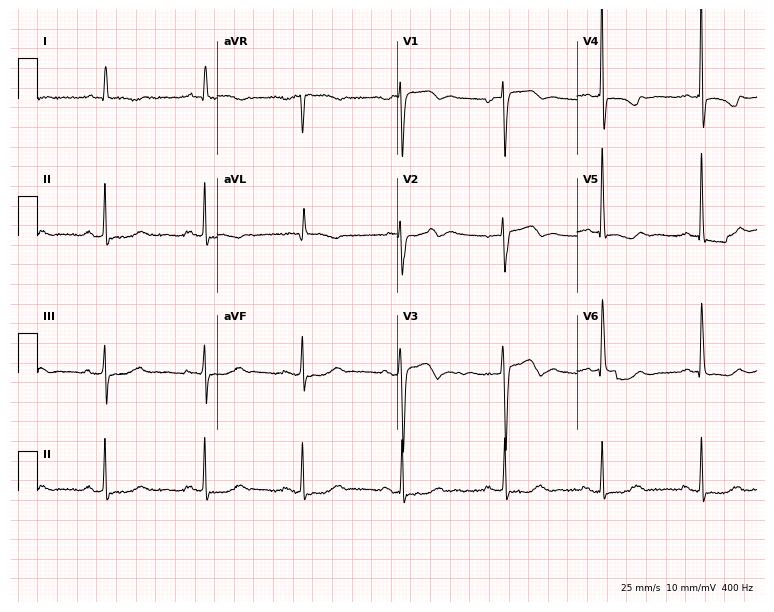
12-lead ECG from a 72-year-old female patient (7.3-second recording at 400 Hz). No first-degree AV block, right bundle branch block, left bundle branch block, sinus bradycardia, atrial fibrillation or sinus tachycardia recorded for this tracing. Findings outside these six are not listed.